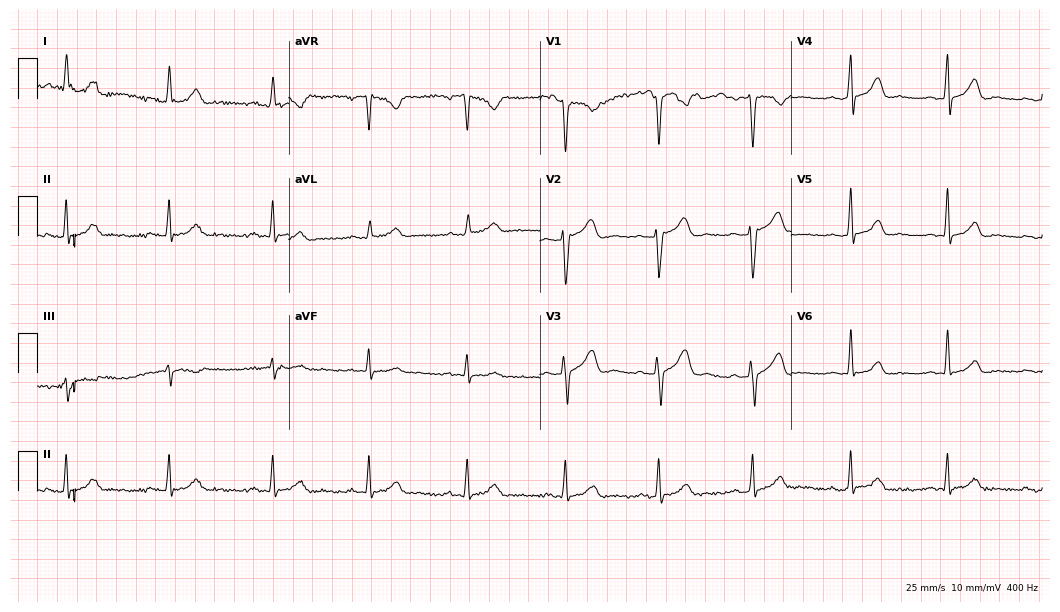
Resting 12-lead electrocardiogram (10.2-second recording at 400 Hz). Patient: a man, 34 years old. None of these six findings is recorded: first-degree AV block, right bundle branch block (RBBB), left bundle branch block (LBBB), sinus bradycardia, atrial fibrillation (AF), sinus tachycardia.